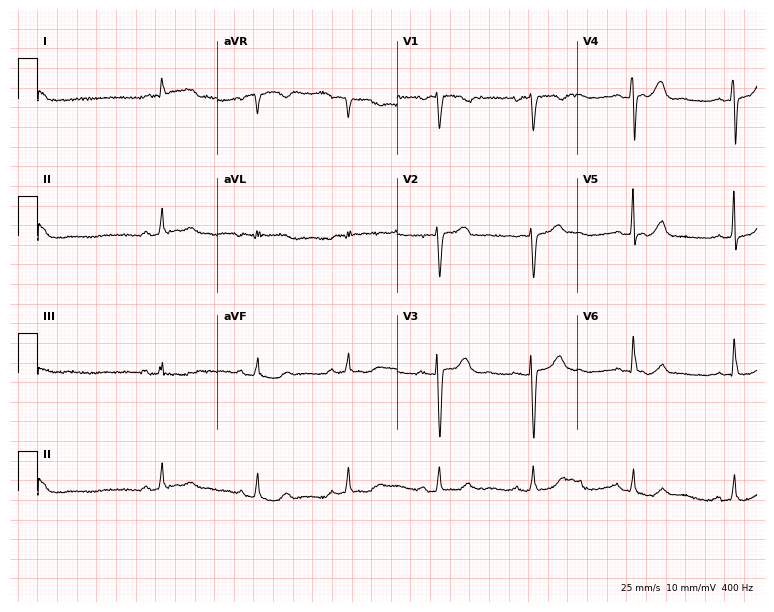
Standard 12-lead ECG recorded from a woman, 52 years old. Read as a normal ECG.